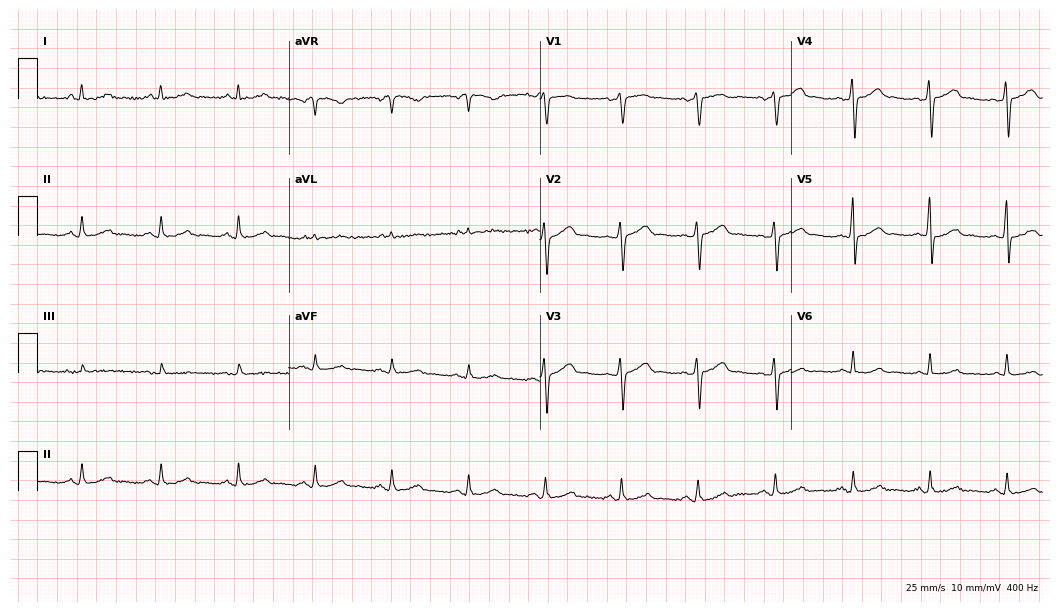
Resting 12-lead electrocardiogram. Patient: a male, 58 years old. Read as a normal ECG.